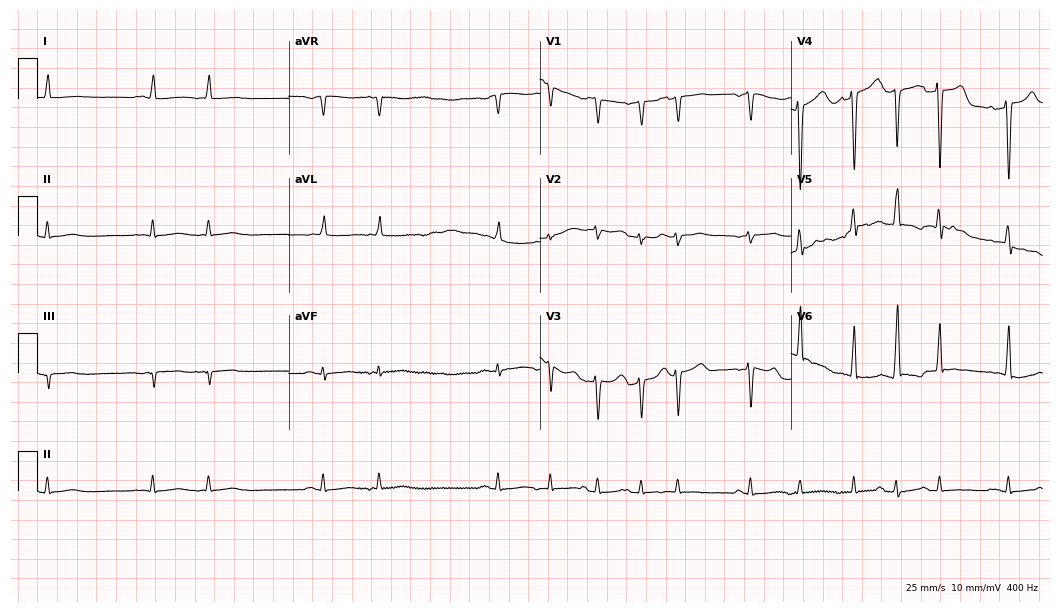
12-lead ECG (10.2-second recording at 400 Hz) from an 85-year-old male patient. Screened for six findings — first-degree AV block, right bundle branch block, left bundle branch block, sinus bradycardia, atrial fibrillation, sinus tachycardia — none is recorded. Other findings, if any, are not listed.